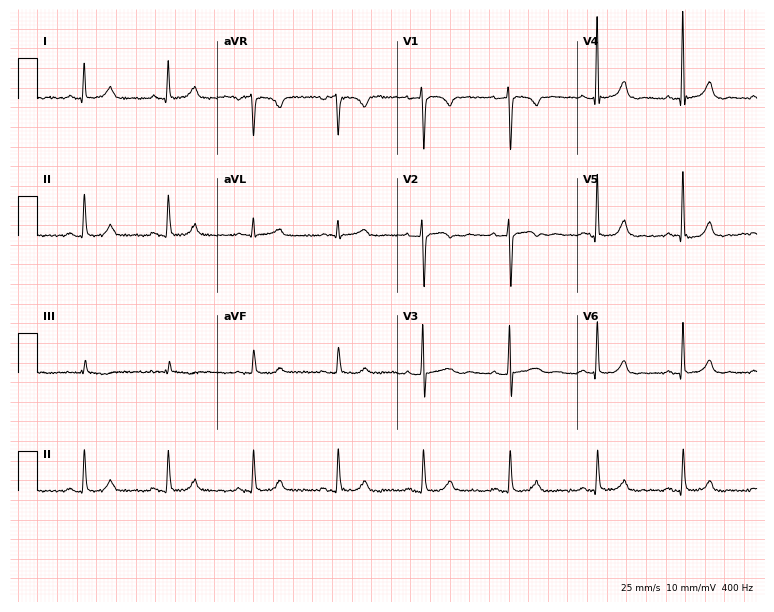
12-lead ECG from a woman, 60 years old. Labelled as a normal ECG.